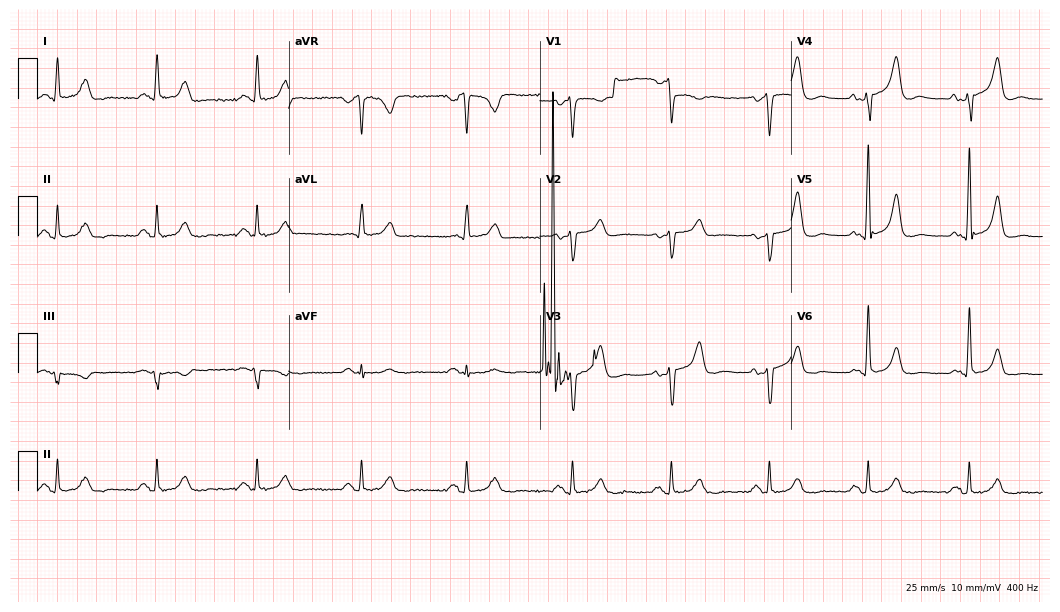
Electrocardiogram (10.2-second recording at 400 Hz), a female patient, 56 years old. Of the six screened findings (first-degree AV block, right bundle branch block (RBBB), left bundle branch block (LBBB), sinus bradycardia, atrial fibrillation (AF), sinus tachycardia), none is recorded. Only these six findings were labelled.